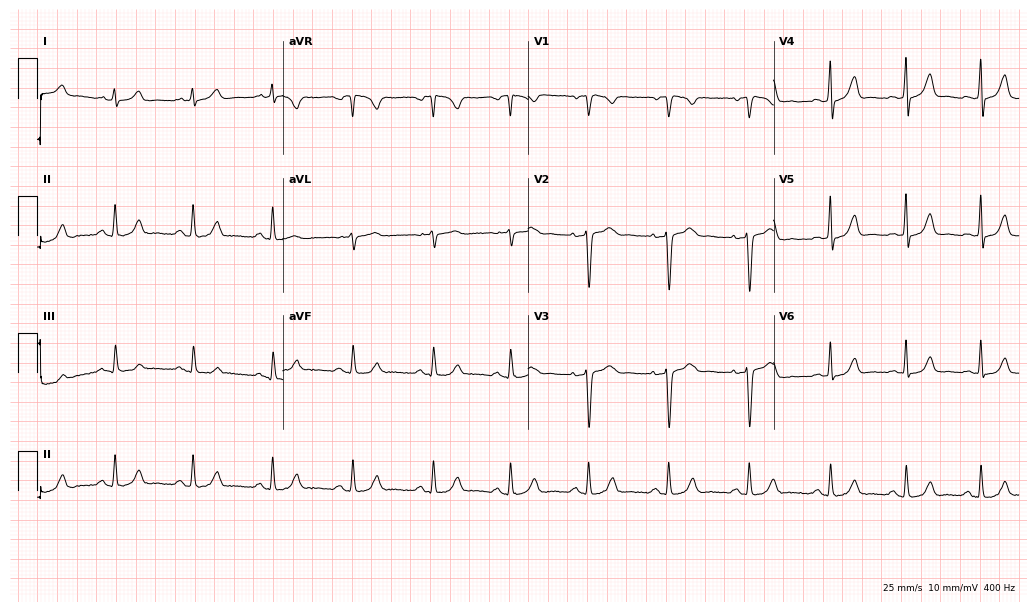
12-lead ECG from a female, 39 years old. Labelled as a normal ECG.